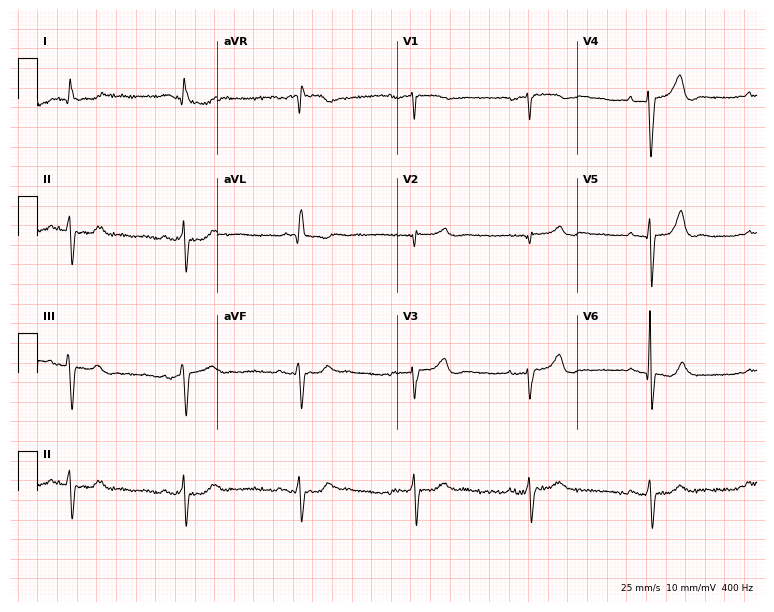
ECG (7.3-second recording at 400 Hz) — a female, 83 years old. Screened for six findings — first-degree AV block, right bundle branch block, left bundle branch block, sinus bradycardia, atrial fibrillation, sinus tachycardia — none is recorded.